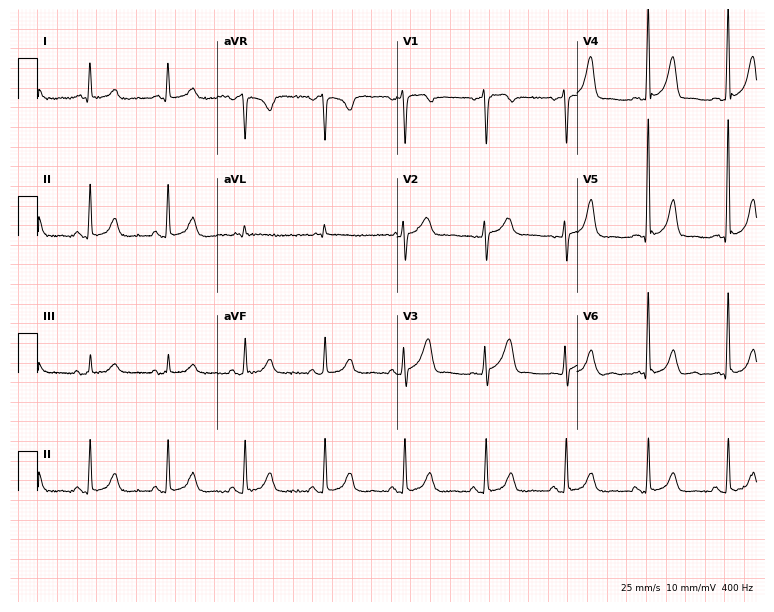
Electrocardiogram, a 65-year-old woman. Overall reading on record: normal ECG.